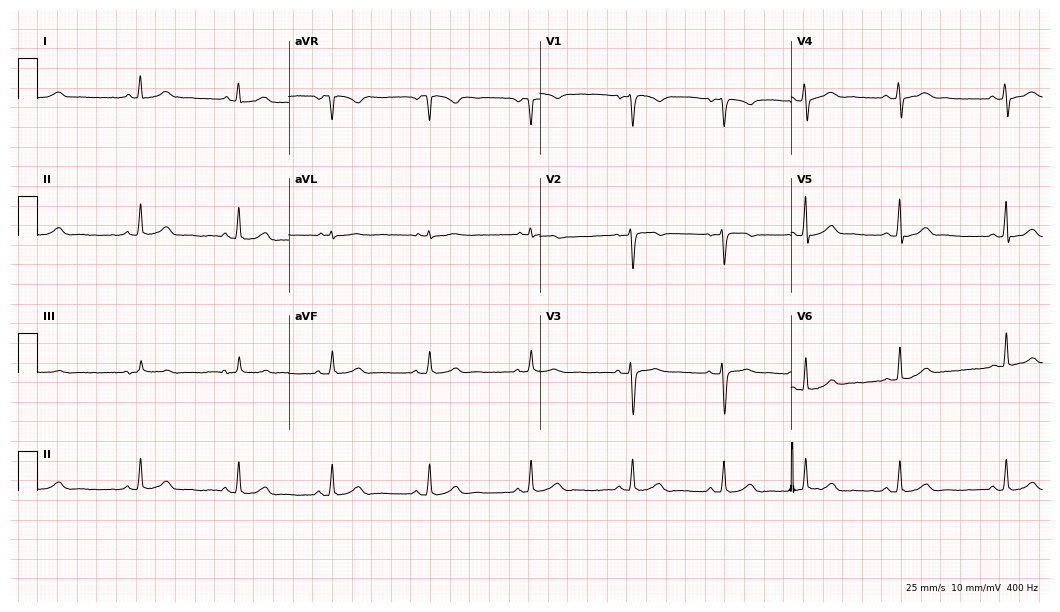
Standard 12-lead ECG recorded from a female, 39 years old (10.2-second recording at 400 Hz). Read as a normal ECG.